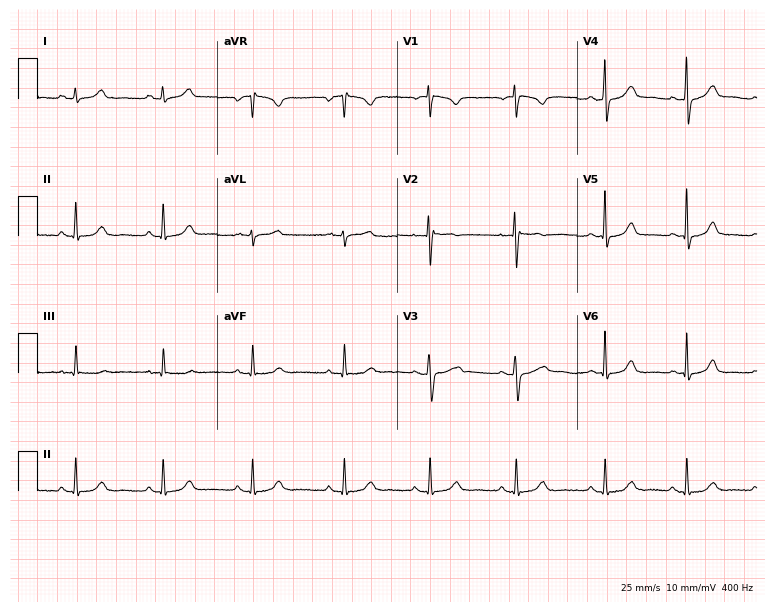
Electrocardiogram (7.3-second recording at 400 Hz), a 31-year-old female. Overall reading on record: normal ECG.